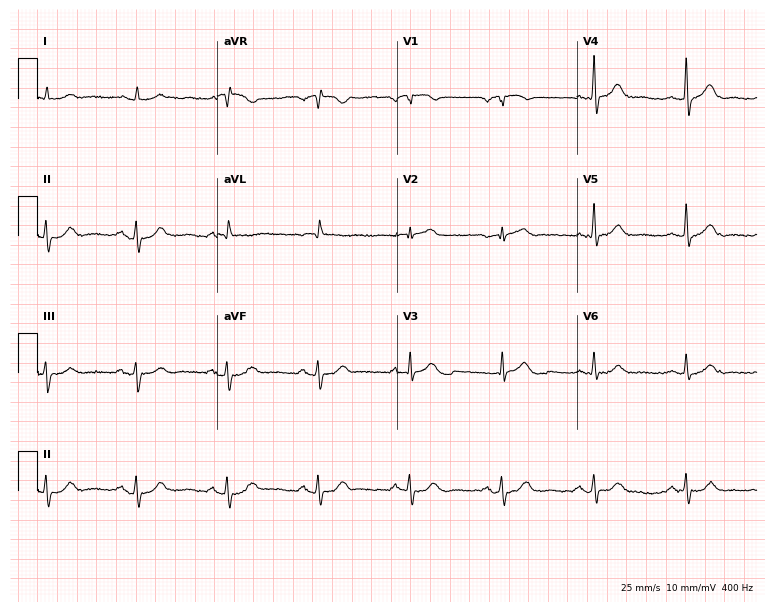
ECG (7.3-second recording at 400 Hz) — an 86-year-old man. Labelled as a normal ECG.